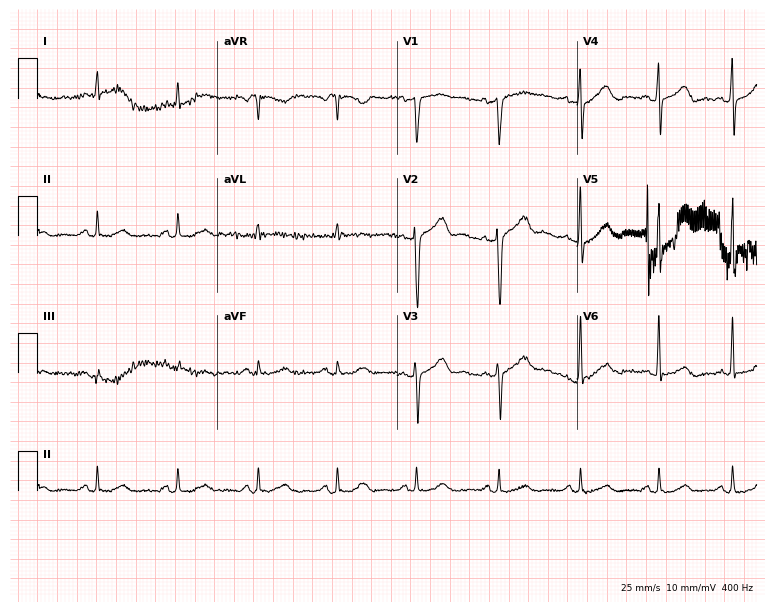
12-lead ECG from a 59-year-old man. Recorded interpretation: within normal limits.